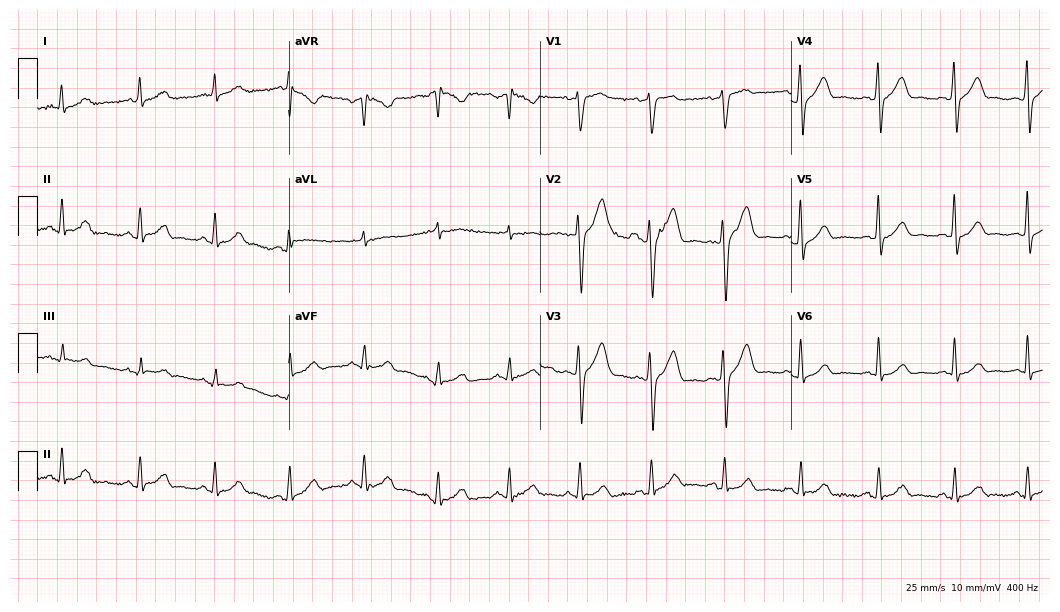
12-lead ECG from a 35-year-old man. Screened for six findings — first-degree AV block, right bundle branch block, left bundle branch block, sinus bradycardia, atrial fibrillation, sinus tachycardia — none is recorded. Findings outside these six are not listed.